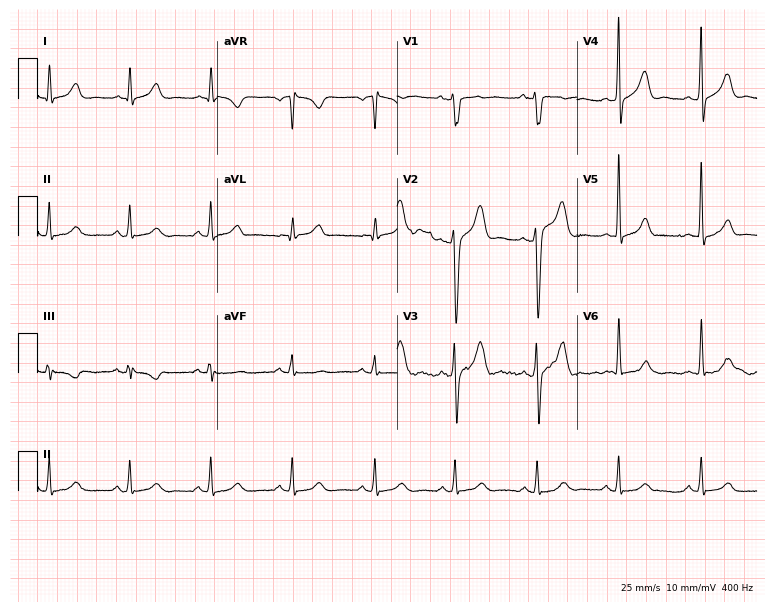
Electrocardiogram (7.3-second recording at 400 Hz), a male, 35 years old. Overall reading on record: normal ECG.